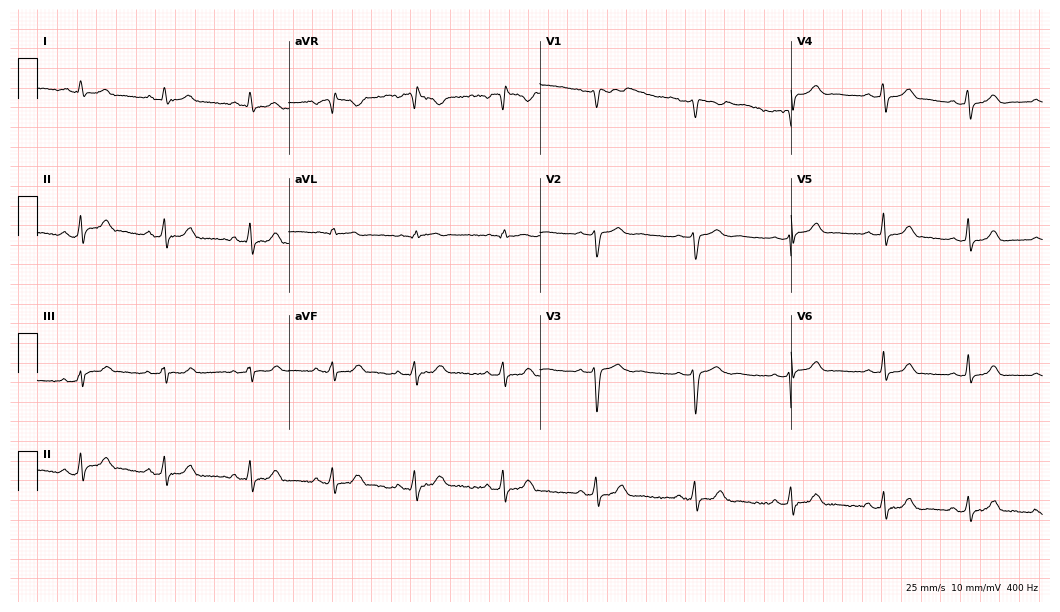
Resting 12-lead electrocardiogram. Patient: an 18-year-old female. Read as a normal ECG.